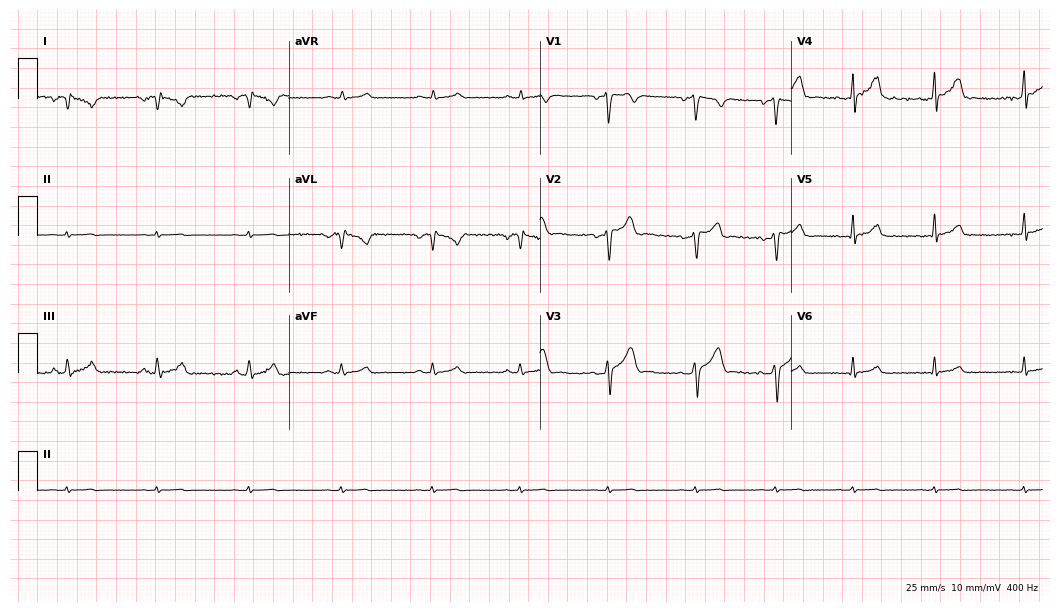
Standard 12-lead ECG recorded from a male, 23 years old (10.2-second recording at 400 Hz). None of these six findings is recorded: first-degree AV block, right bundle branch block, left bundle branch block, sinus bradycardia, atrial fibrillation, sinus tachycardia.